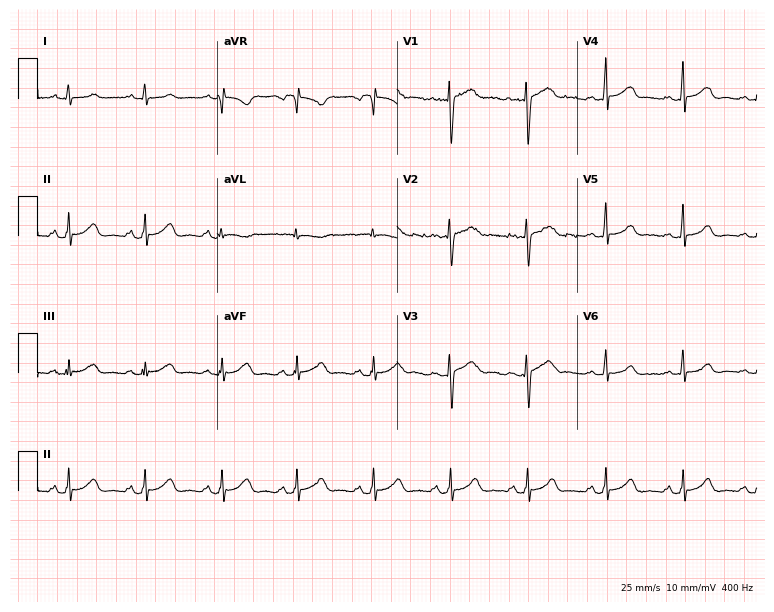
12-lead ECG from a woman, 35 years old. Recorded interpretation: within normal limits.